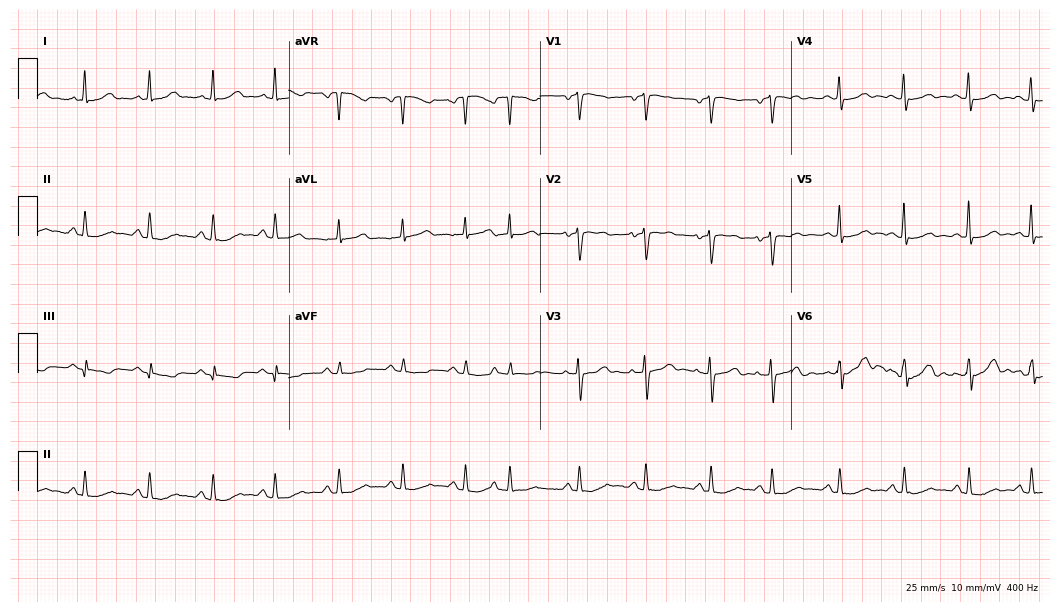
12-lead ECG from a woman, 72 years old. Recorded interpretation: within normal limits.